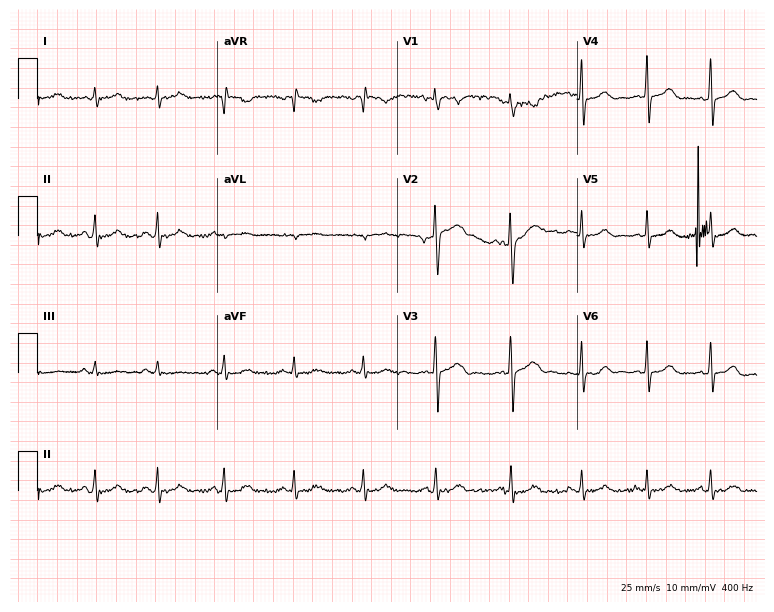
12-lead ECG from a woman, 26 years old (7.3-second recording at 400 Hz). No first-degree AV block, right bundle branch block (RBBB), left bundle branch block (LBBB), sinus bradycardia, atrial fibrillation (AF) or sinus tachycardia recorded for this tracing. Only these six findings were labelled.